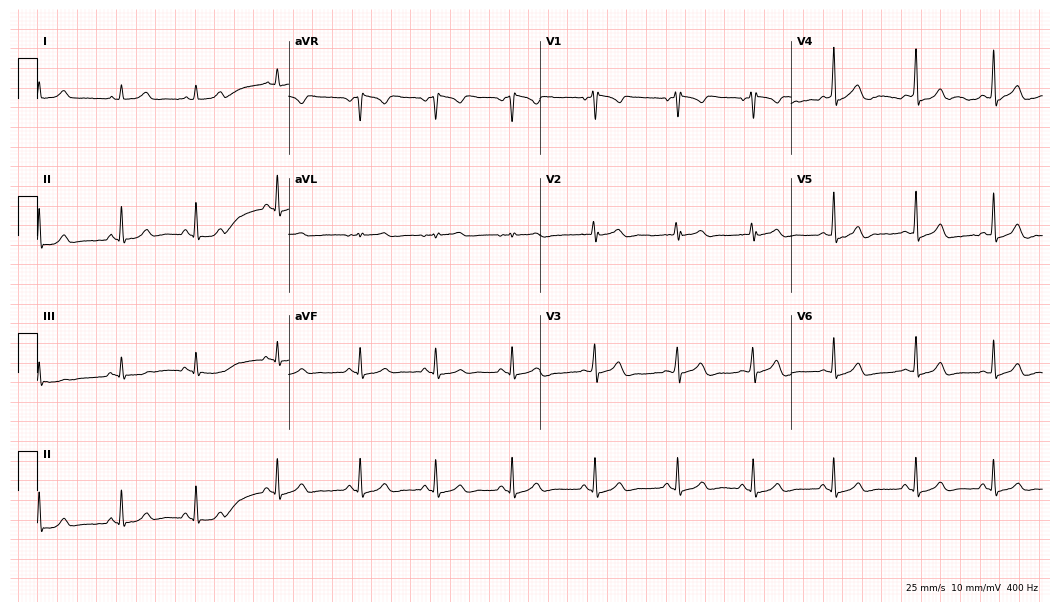
Resting 12-lead electrocardiogram. Patient: a 23-year-old female. Read as a normal ECG.